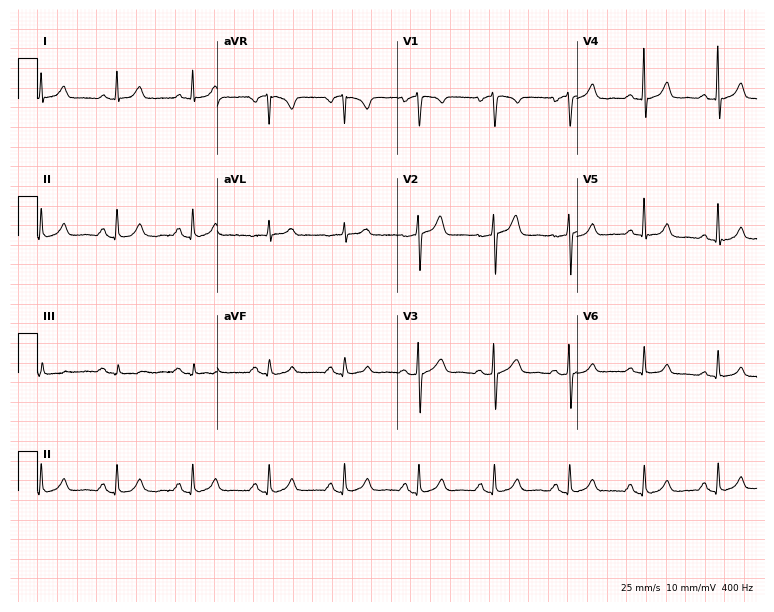
Electrocardiogram (7.3-second recording at 400 Hz), a 41-year-old male patient. Overall reading on record: normal ECG.